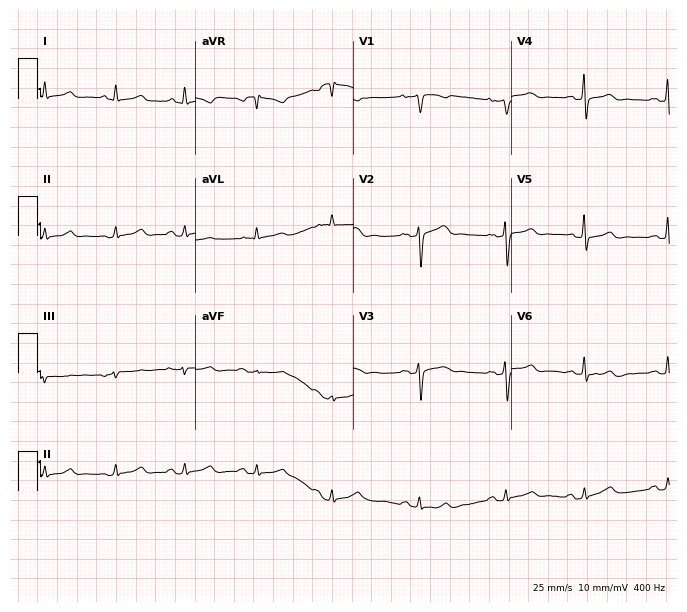
ECG (6.4-second recording at 400 Hz) — a woman, 27 years old. Labelled as a normal ECG.